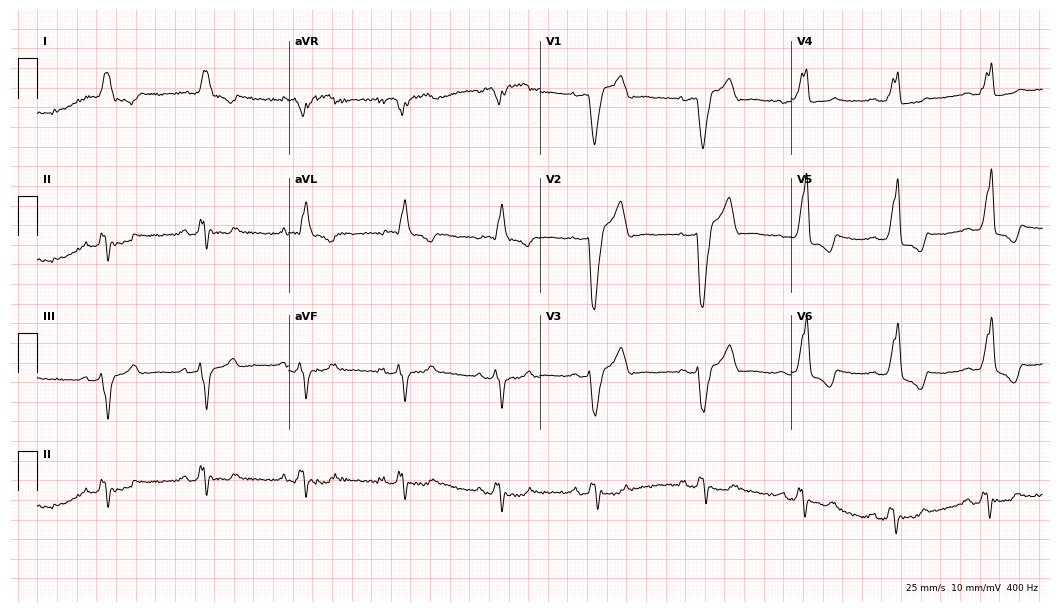
ECG (10.2-second recording at 400 Hz) — a woman, 79 years old. Findings include left bundle branch block.